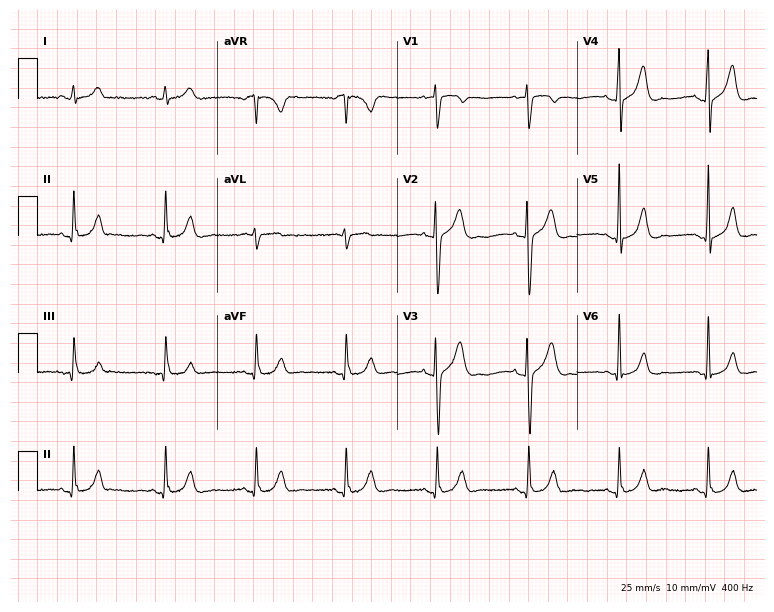
Electrocardiogram (7.3-second recording at 400 Hz), a 26-year-old man. Overall reading on record: normal ECG.